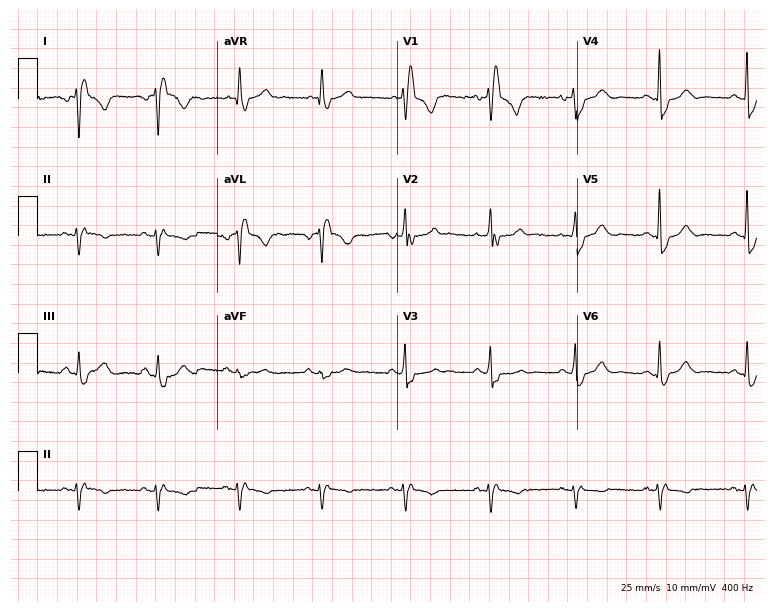
12-lead ECG from a 47-year-old woman (7.3-second recording at 400 Hz). No first-degree AV block, right bundle branch block, left bundle branch block, sinus bradycardia, atrial fibrillation or sinus tachycardia recorded for this tracing.